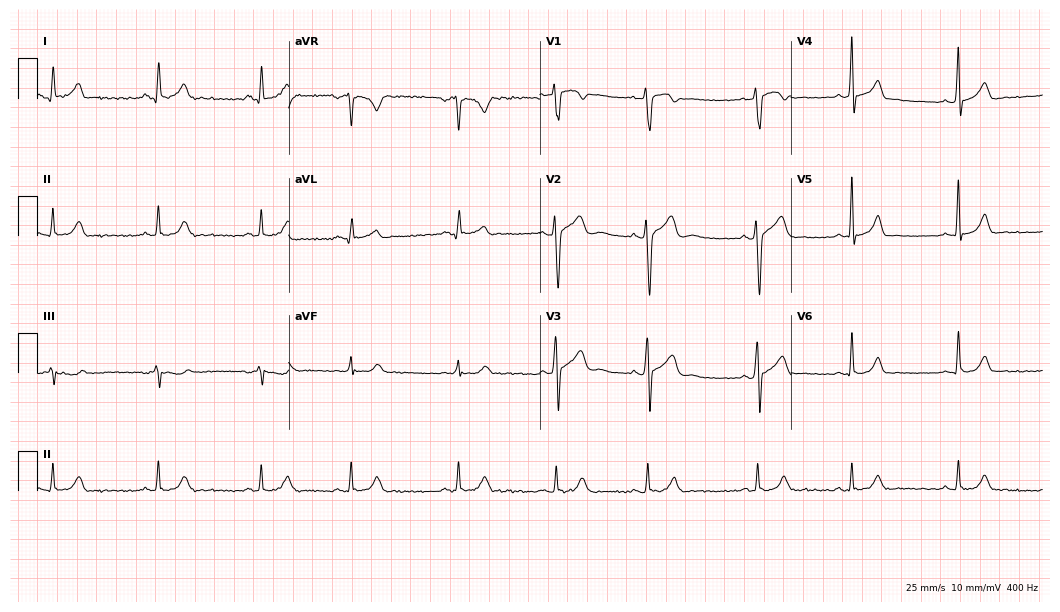
Electrocardiogram, a male, 17 years old. Overall reading on record: normal ECG.